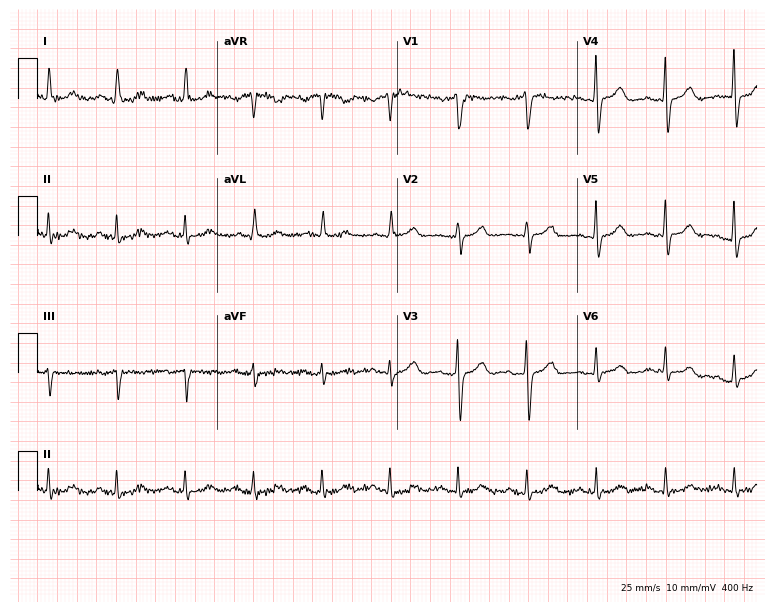
Standard 12-lead ECG recorded from a woman, 77 years old. None of these six findings is recorded: first-degree AV block, right bundle branch block, left bundle branch block, sinus bradycardia, atrial fibrillation, sinus tachycardia.